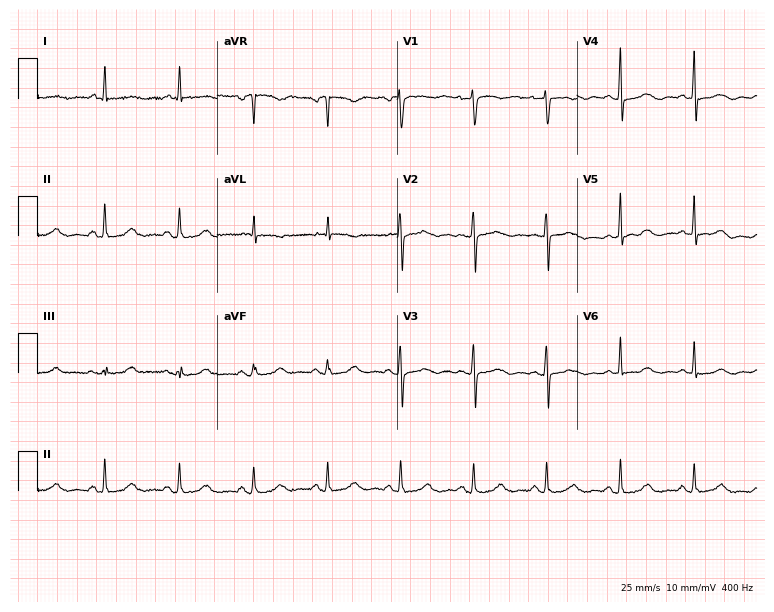
Electrocardiogram, a woman, 71 years old. Overall reading on record: normal ECG.